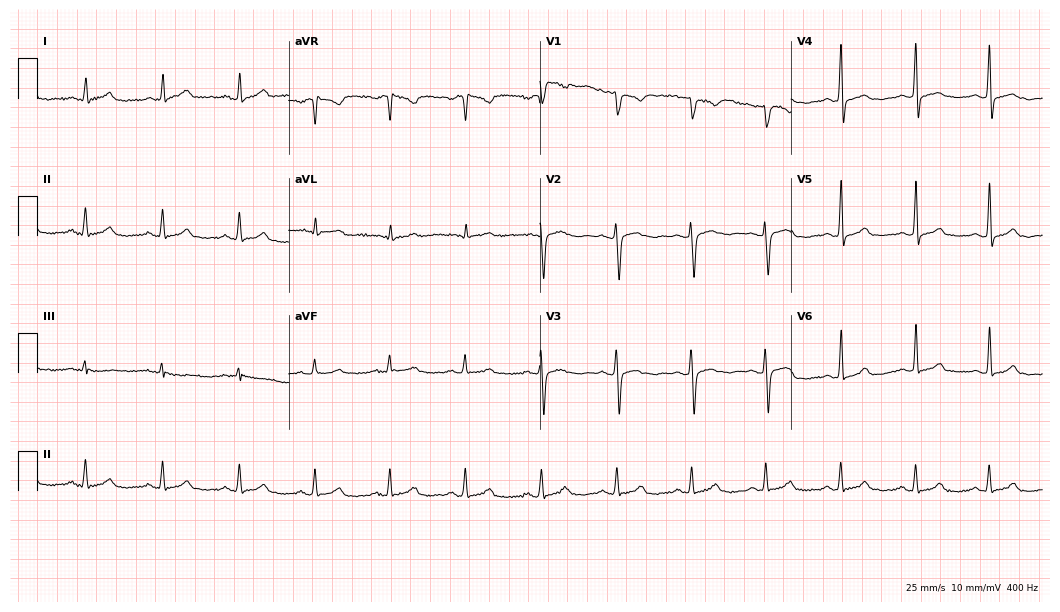
ECG — a 38-year-old woman. Screened for six findings — first-degree AV block, right bundle branch block, left bundle branch block, sinus bradycardia, atrial fibrillation, sinus tachycardia — none is recorded. Other findings, if any, are not listed.